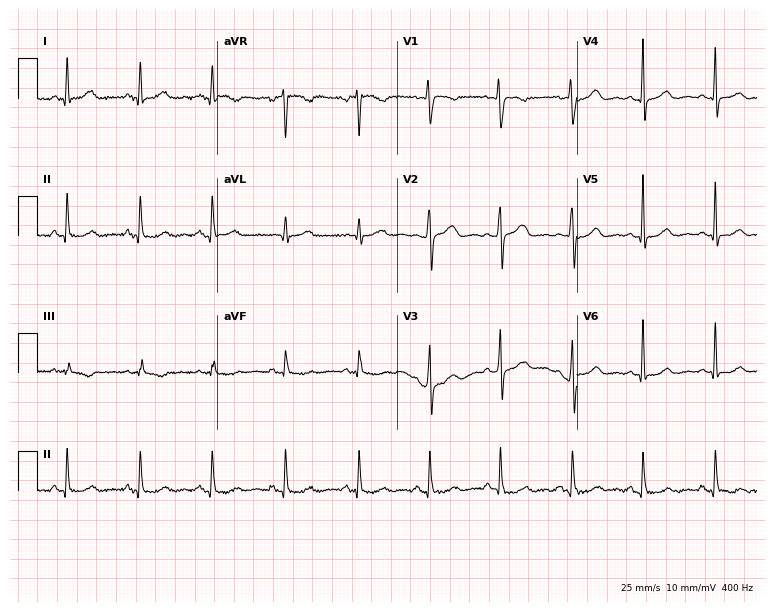
Electrocardiogram (7.3-second recording at 400 Hz), a 41-year-old female patient. Of the six screened findings (first-degree AV block, right bundle branch block (RBBB), left bundle branch block (LBBB), sinus bradycardia, atrial fibrillation (AF), sinus tachycardia), none is recorded. Only these six findings were labelled.